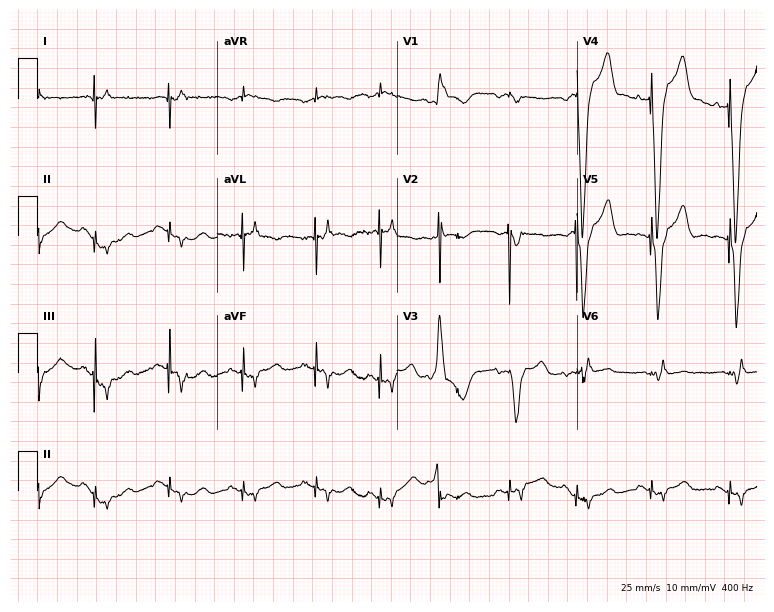
ECG — a female, 84 years old. Screened for six findings — first-degree AV block, right bundle branch block, left bundle branch block, sinus bradycardia, atrial fibrillation, sinus tachycardia — none is recorded.